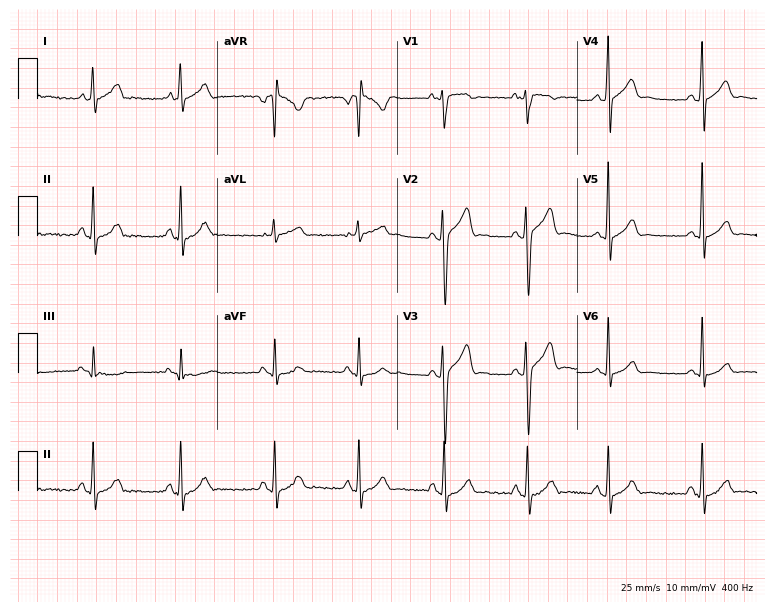
Electrocardiogram (7.3-second recording at 400 Hz), a 26-year-old man. Of the six screened findings (first-degree AV block, right bundle branch block, left bundle branch block, sinus bradycardia, atrial fibrillation, sinus tachycardia), none is recorded. Other findings, if any, are not listed.